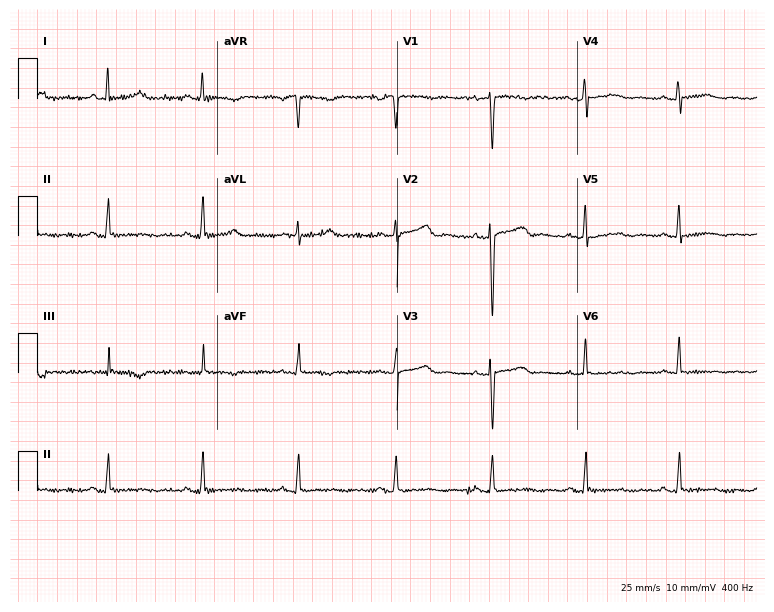
Electrocardiogram, a female patient, 43 years old. Overall reading on record: normal ECG.